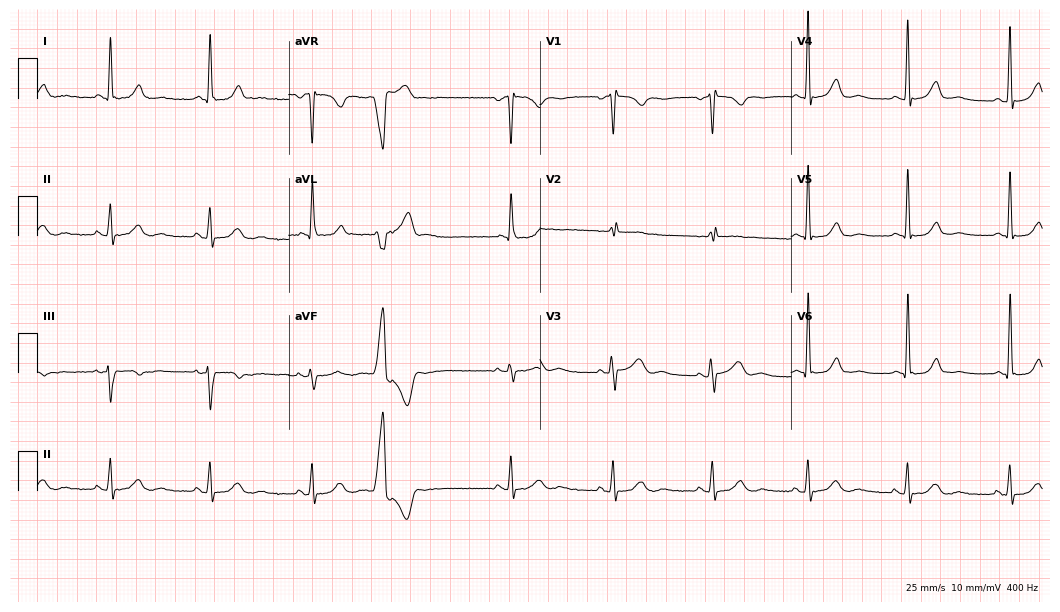
ECG (10.2-second recording at 400 Hz) — a woman, 47 years old. Screened for six findings — first-degree AV block, right bundle branch block (RBBB), left bundle branch block (LBBB), sinus bradycardia, atrial fibrillation (AF), sinus tachycardia — none is recorded.